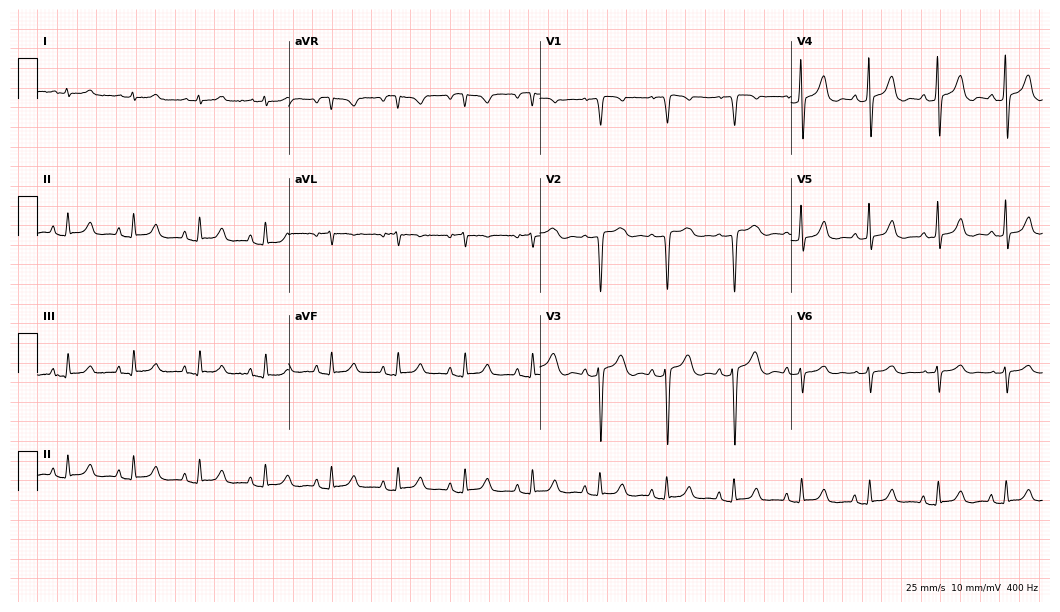
12-lead ECG from a female, 62 years old. No first-degree AV block, right bundle branch block, left bundle branch block, sinus bradycardia, atrial fibrillation or sinus tachycardia recorded for this tracing. Only these six findings were labelled.